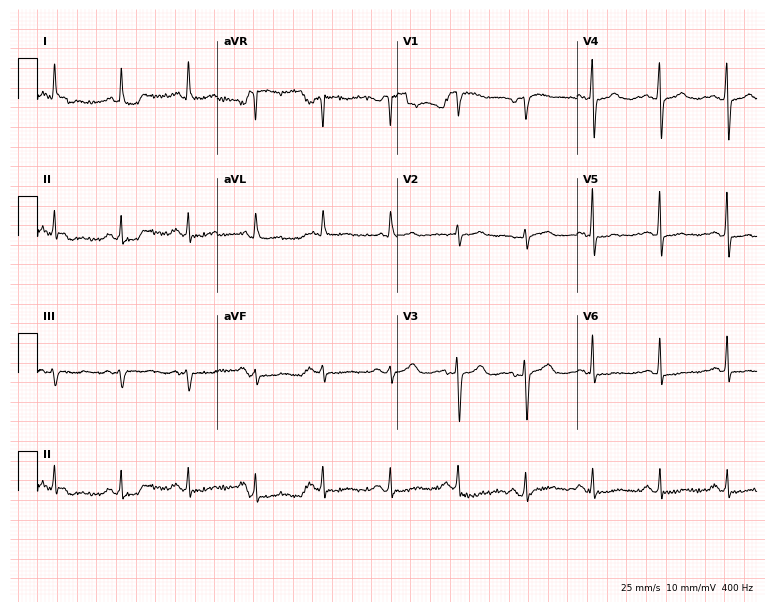
Standard 12-lead ECG recorded from a female patient, 67 years old. Read as a normal ECG.